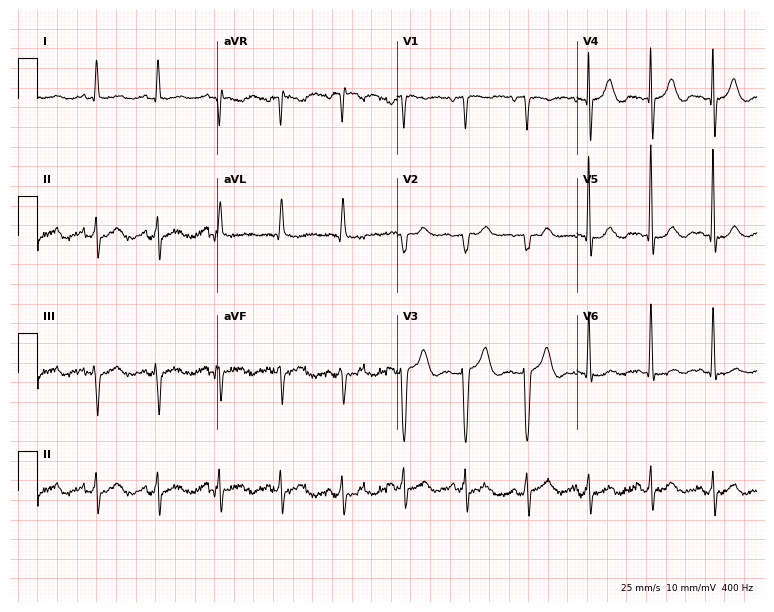
ECG — a 62-year-old man. Labelled as a normal ECG.